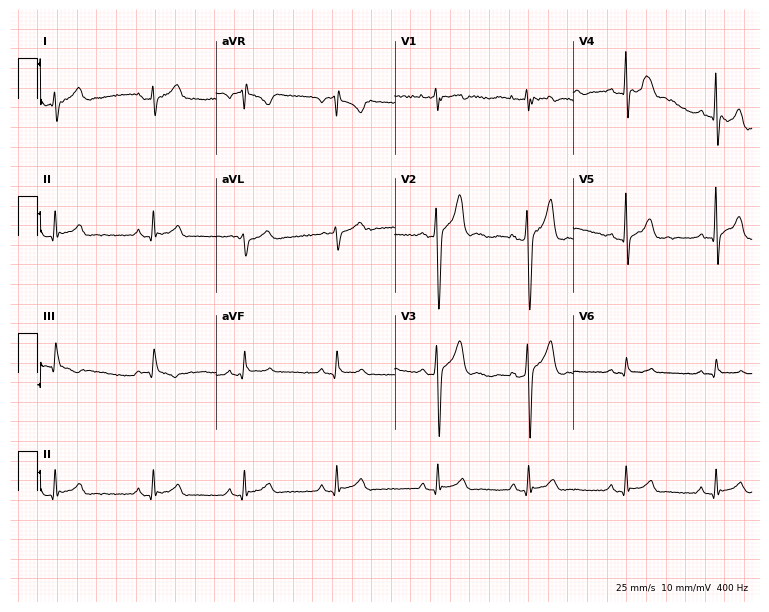
12-lead ECG from a male, 21 years old (7.3-second recording at 400 Hz). No first-degree AV block, right bundle branch block, left bundle branch block, sinus bradycardia, atrial fibrillation or sinus tachycardia recorded for this tracing.